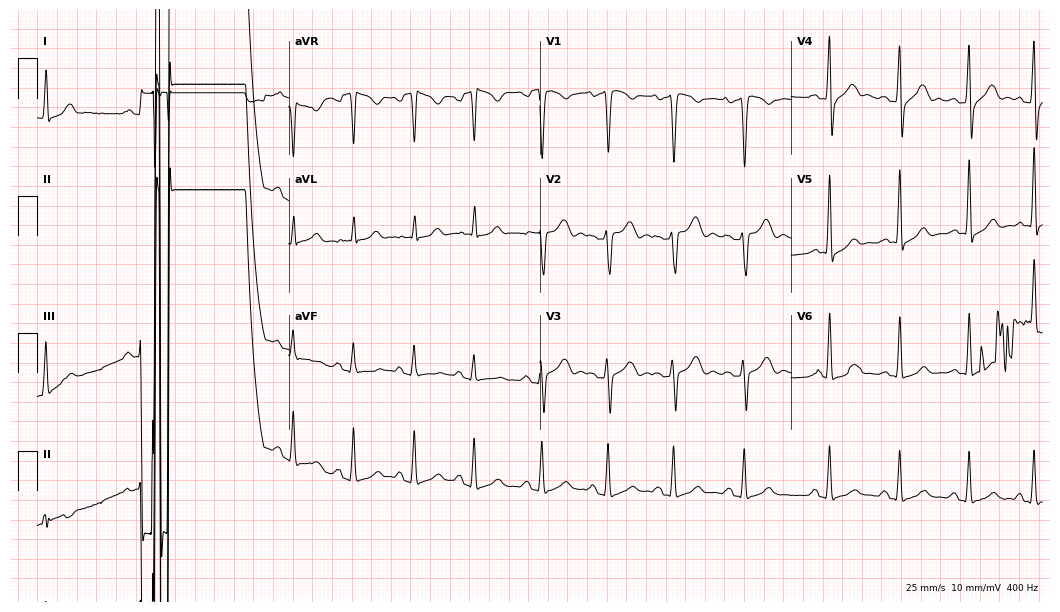
12-lead ECG from a 34-year-old man. No first-degree AV block, right bundle branch block (RBBB), left bundle branch block (LBBB), sinus bradycardia, atrial fibrillation (AF) or sinus tachycardia recorded for this tracing.